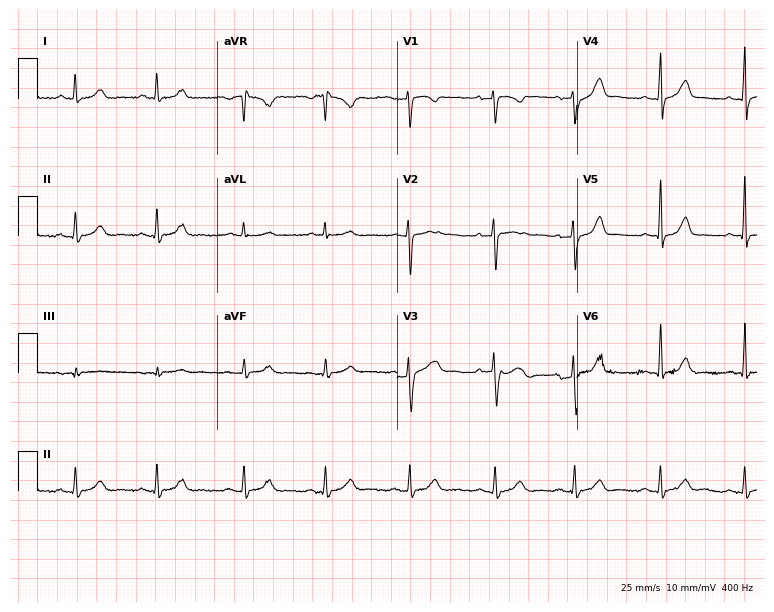
Standard 12-lead ECG recorded from a female, 29 years old (7.3-second recording at 400 Hz). Read as a normal ECG.